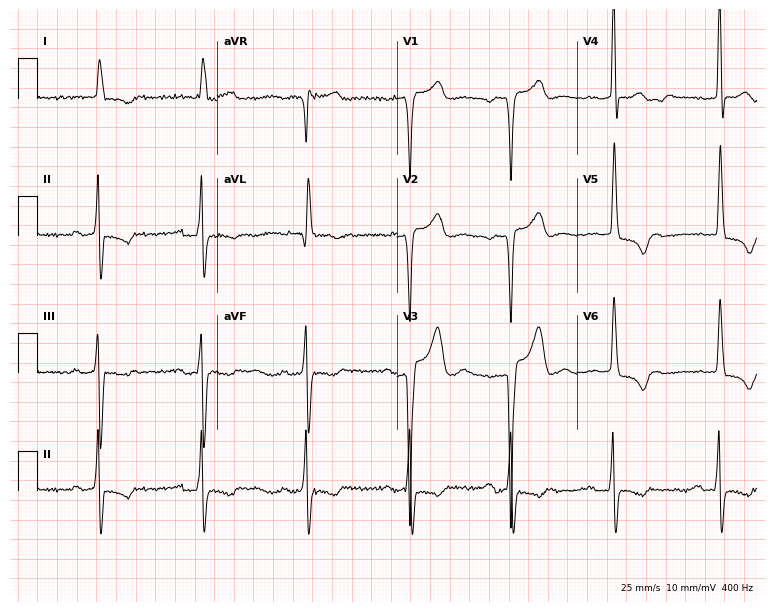
12-lead ECG from a 74-year-old male. No first-degree AV block, right bundle branch block (RBBB), left bundle branch block (LBBB), sinus bradycardia, atrial fibrillation (AF) or sinus tachycardia recorded for this tracing. Only these six findings were labelled.